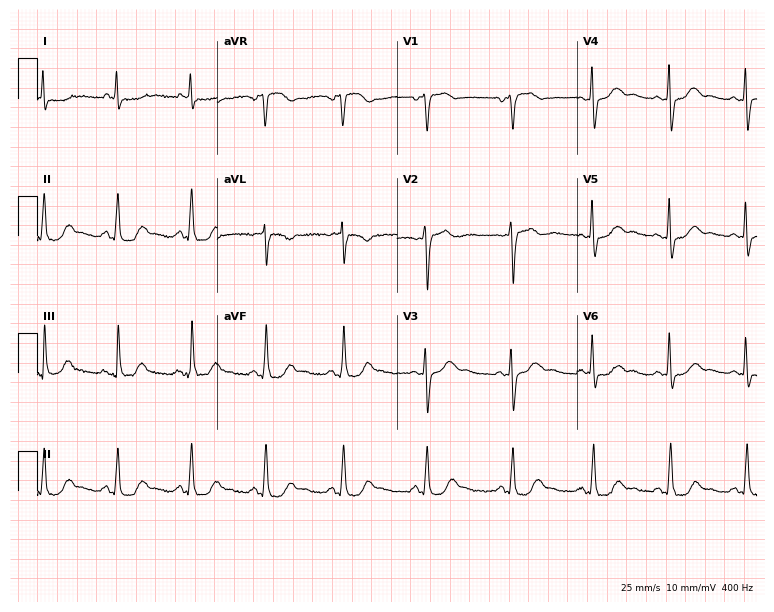
Electrocardiogram, a 61-year-old female. Of the six screened findings (first-degree AV block, right bundle branch block, left bundle branch block, sinus bradycardia, atrial fibrillation, sinus tachycardia), none is recorded.